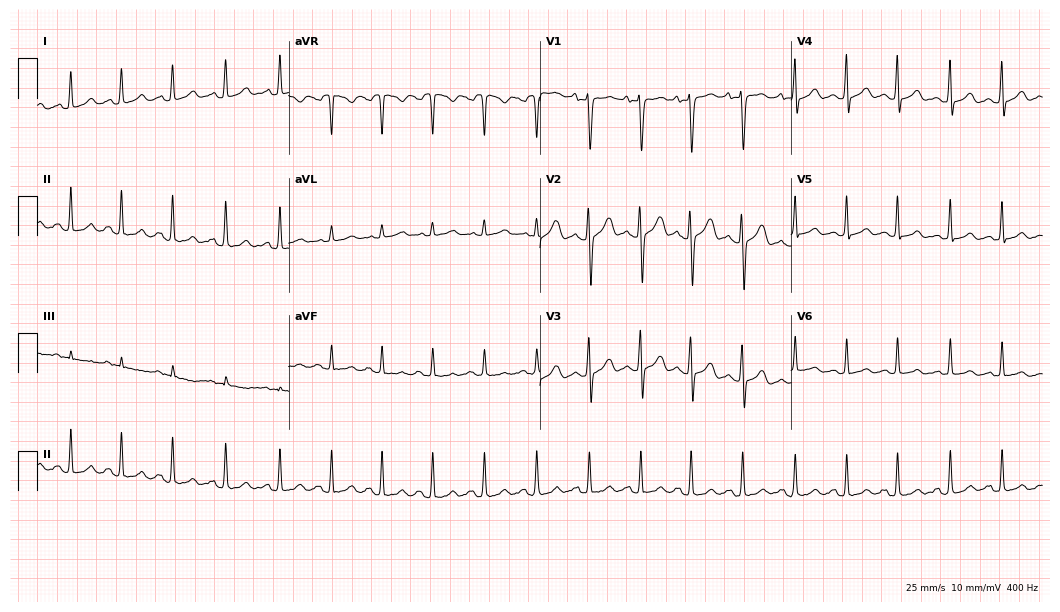
Electrocardiogram (10.2-second recording at 400 Hz), a 17-year-old female. Interpretation includes sinus tachycardia (a sinus rate of 100 beats per minute or more).